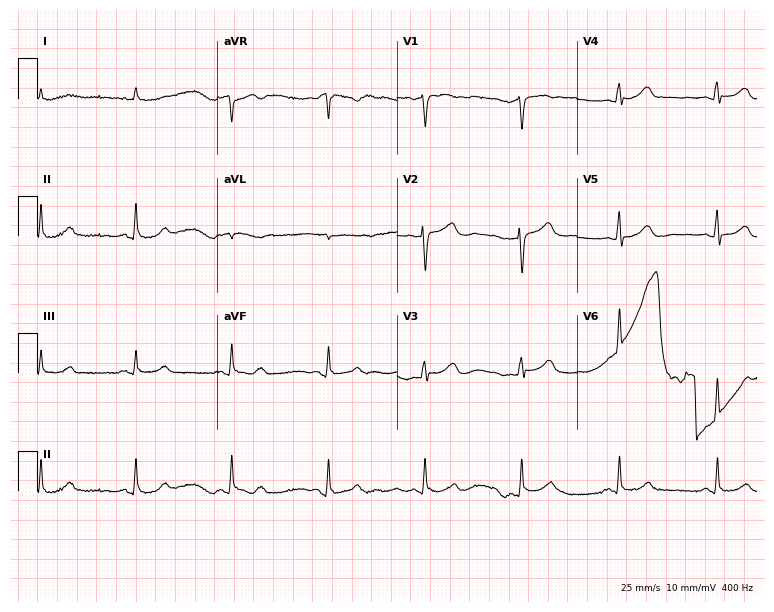
Electrocardiogram, a 71-year-old man. Of the six screened findings (first-degree AV block, right bundle branch block (RBBB), left bundle branch block (LBBB), sinus bradycardia, atrial fibrillation (AF), sinus tachycardia), none is recorded. Other findings, if any, are not listed.